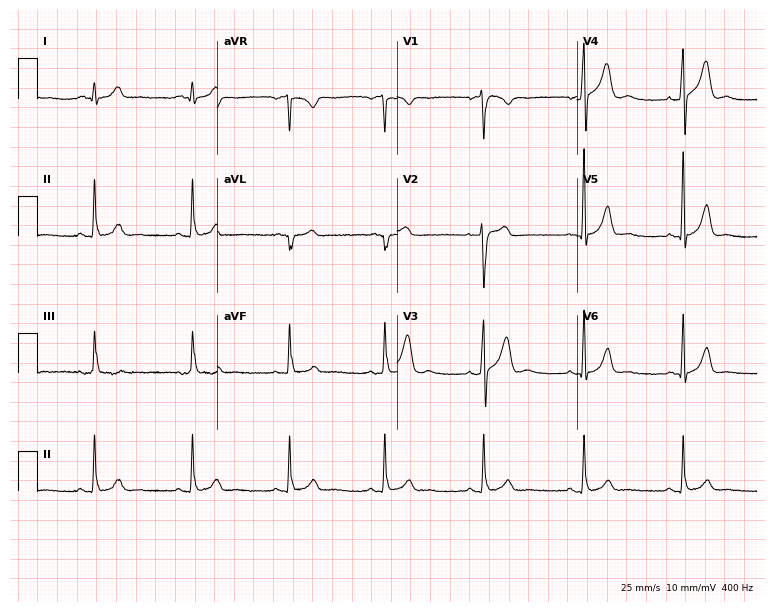
Standard 12-lead ECG recorded from a 42-year-old male. Read as a normal ECG.